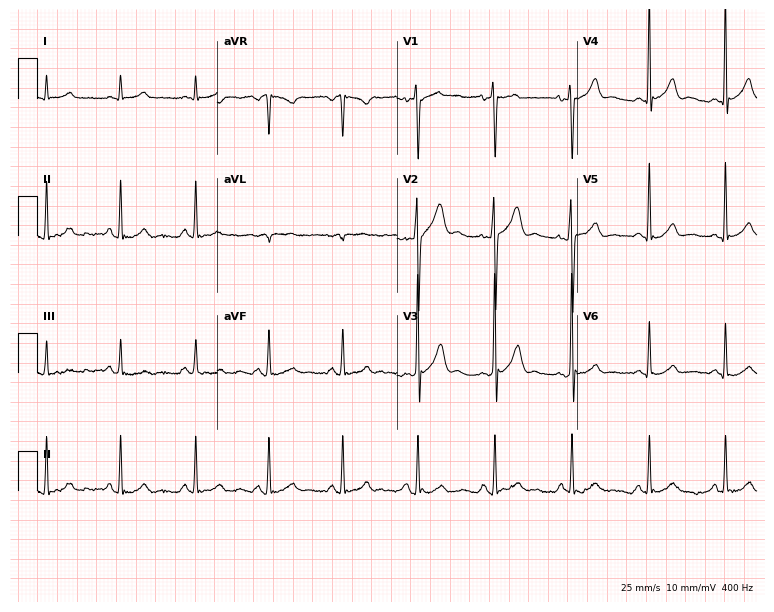
12-lead ECG from a male patient, 19 years old. Labelled as a normal ECG.